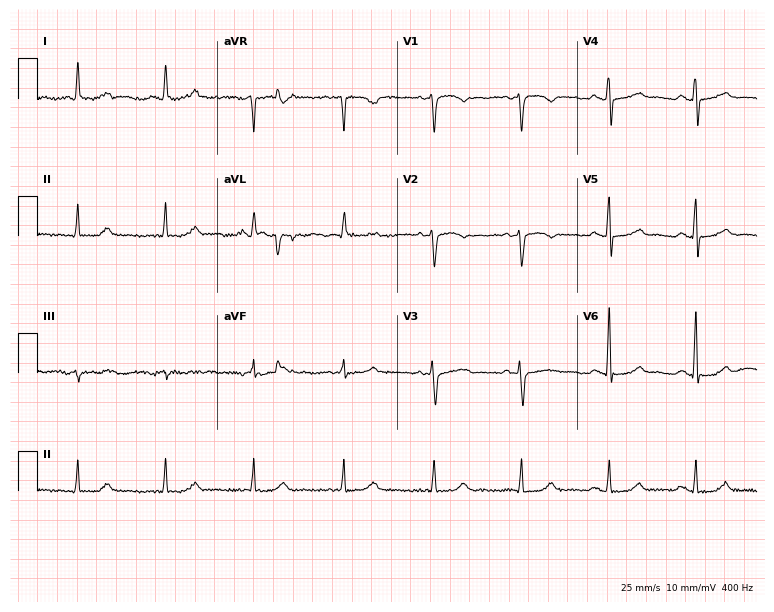
Standard 12-lead ECG recorded from a 68-year-old woman. None of these six findings is recorded: first-degree AV block, right bundle branch block (RBBB), left bundle branch block (LBBB), sinus bradycardia, atrial fibrillation (AF), sinus tachycardia.